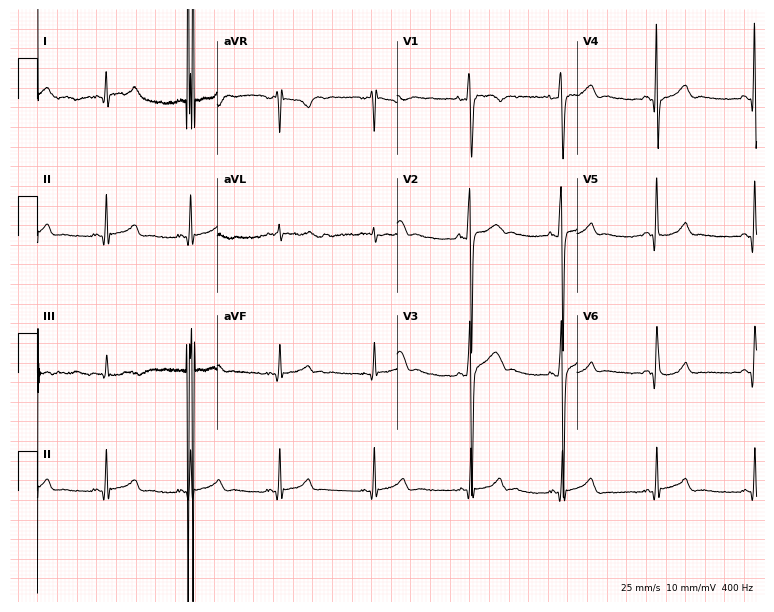
Resting 12-lead electrocardiogram. Patient: a 27-year-old male. Read as a normal ECG.